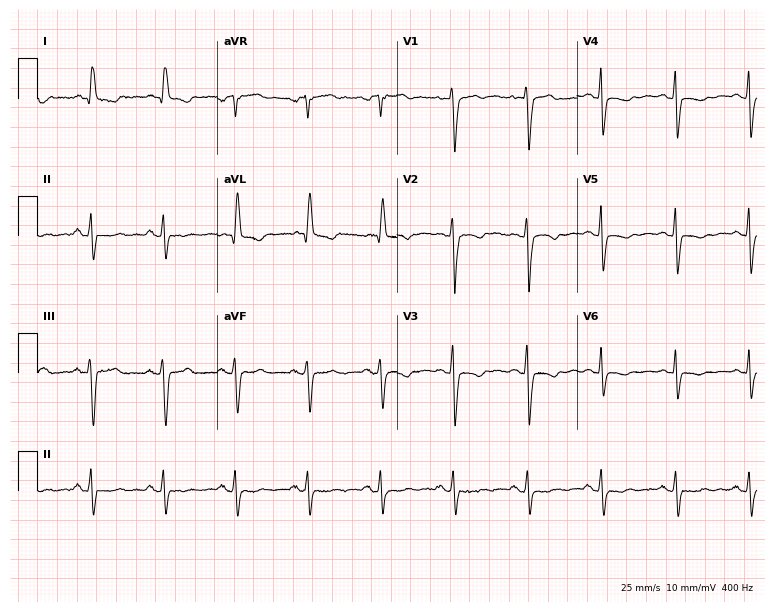
Standard 12-lead ECG recorded from a female patient, 58 years old (7.3-second recording at 400 Hz). None of these six findings is recorded: first-degree AV block, right bundle branch block (RBBB), left bundle branch block (LBBB), sinus bradycardia, atrial fibrillation (AF), sinus tachycardia.